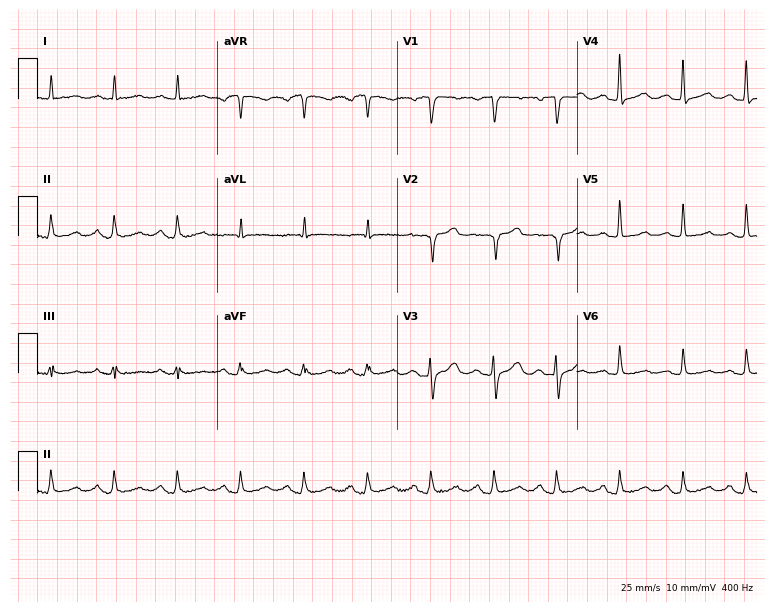
12-lead ECG from a 69-year-old male. Labelled as a normal ECG.